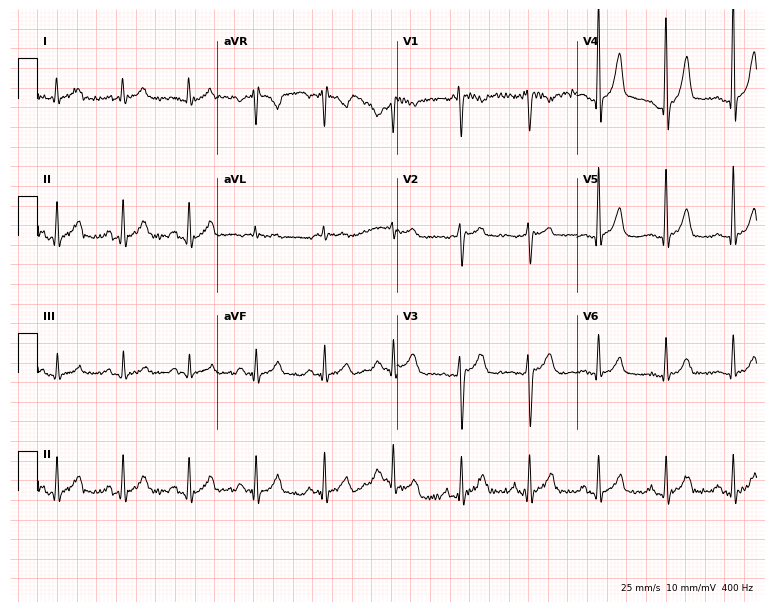
Electrocardiogram (7.3-second recording at 400 Hz), a male, 53 years old. Of the six screened findings (first-degree AV block, right bundle branch block (RBBB), left bundle branch block (LBBB), sinus bradycardia, atrial fibrillation (AF), sinus tachycardia), none is recorded.